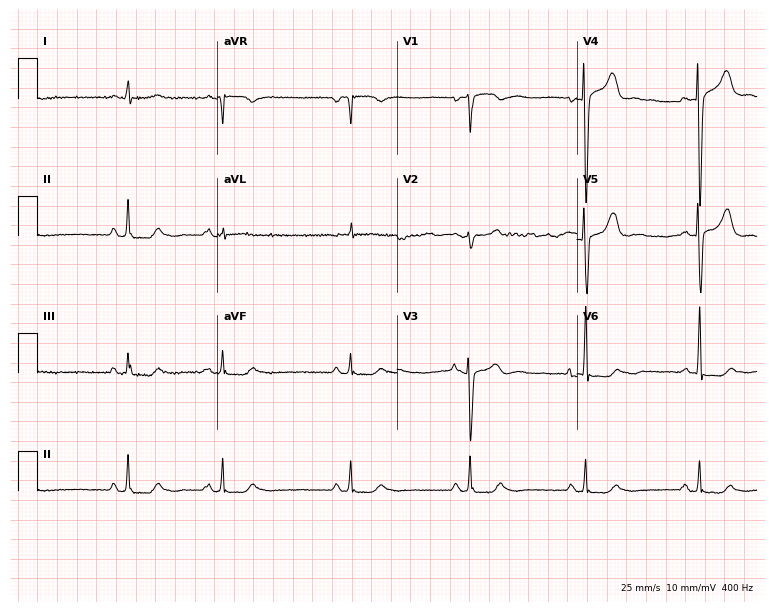
Resting 12-lead electrocardiogram (7.3-second recording at 400 Hz). Patient: an 84-year-old male. None of these six findings is recorded: first-degree AV block, right bundle branch block, left bundle branch block, sinus bradycardia, atrial fibrillation, sinus tachycardia.